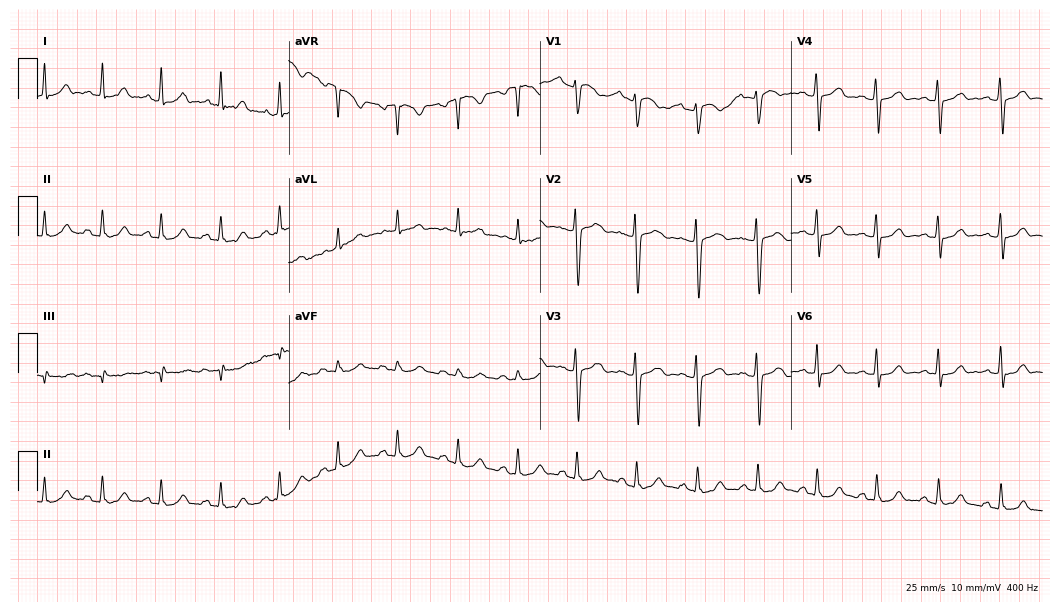
12-lead ECG from a 27-year-old female patient (10.2-second recording at 400 Hz). Recorded interpretation: within normal limits.